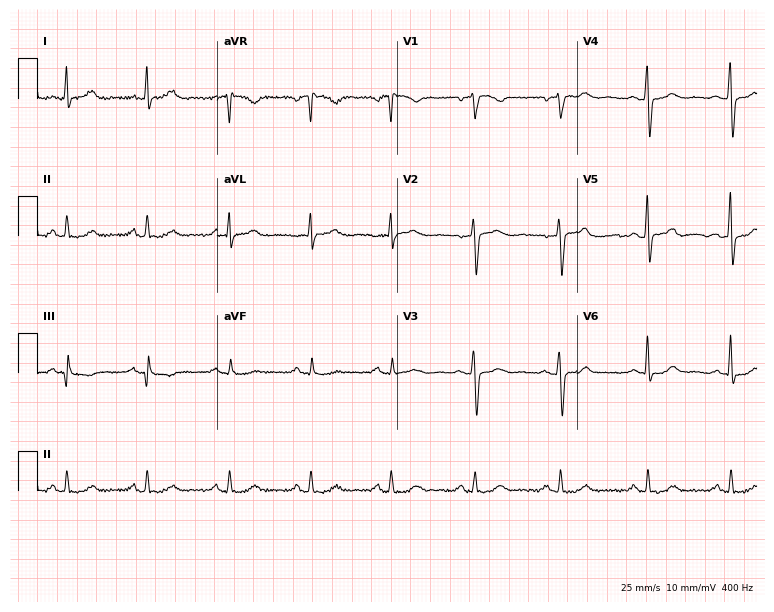
12-lead ECG from a 48-year-old female patient. Recorded interpretation: within normal limits.